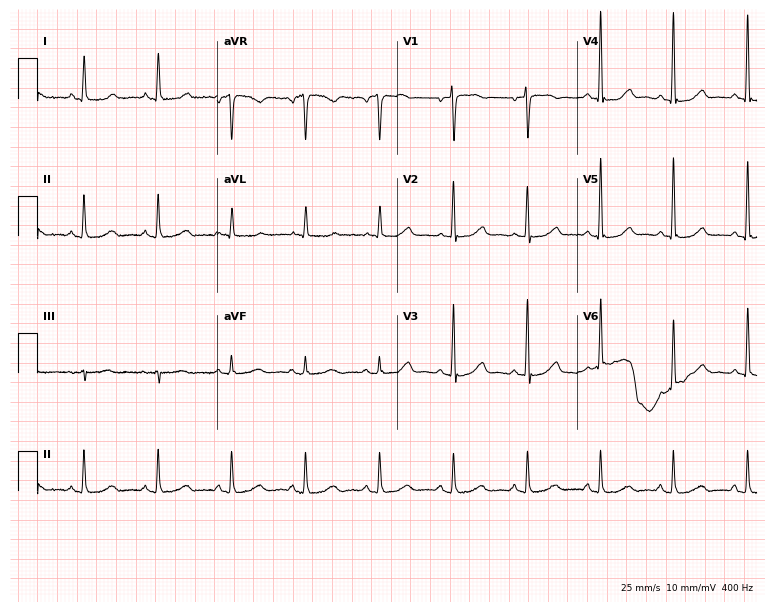
Resting 12-lead electrocardiogram. Patient: a female, 66 years old. None of these six findings is recorded: first-degree AV block, right bundle branch block (RBBB), left bundle branch block (LBBB), sinus bradycardia, atrial fibrillation (AF), sinus tachycardia.